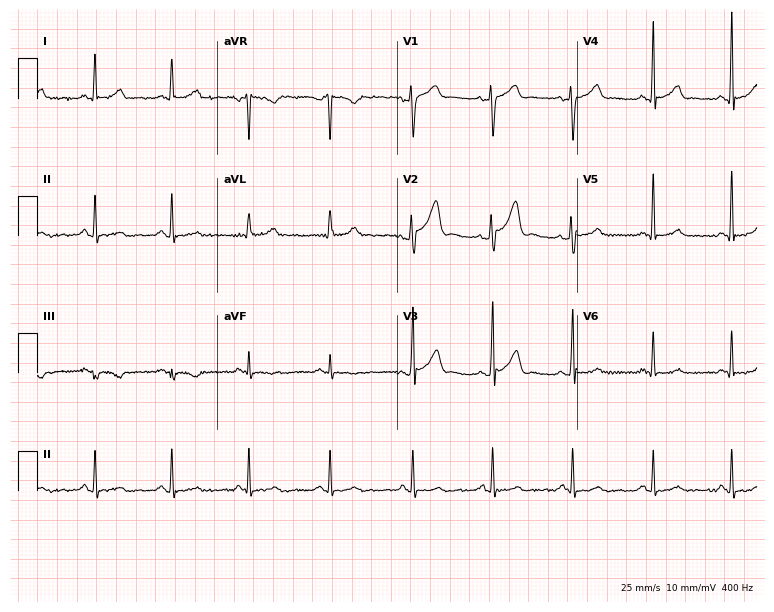
12-lead ECG (7.3-second recording at 400 Hz) from a 45-year-old man. Screened for six findings — first-degree AV block, right bundle branch block, left bundle branch block, sinus bradycardia, atrial fibrillation, sinus tachycardia — none is recorded. Findings outside these six are not listed.